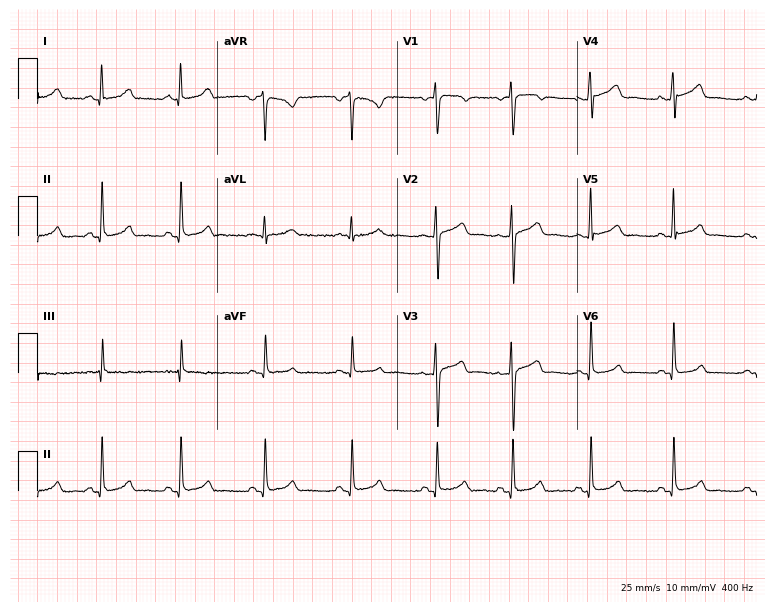
Resting 12-lead electrocardiogram (7.3-second recording at 400 Hz). Patient: a 26-year-old female. Read as a normal ECG.